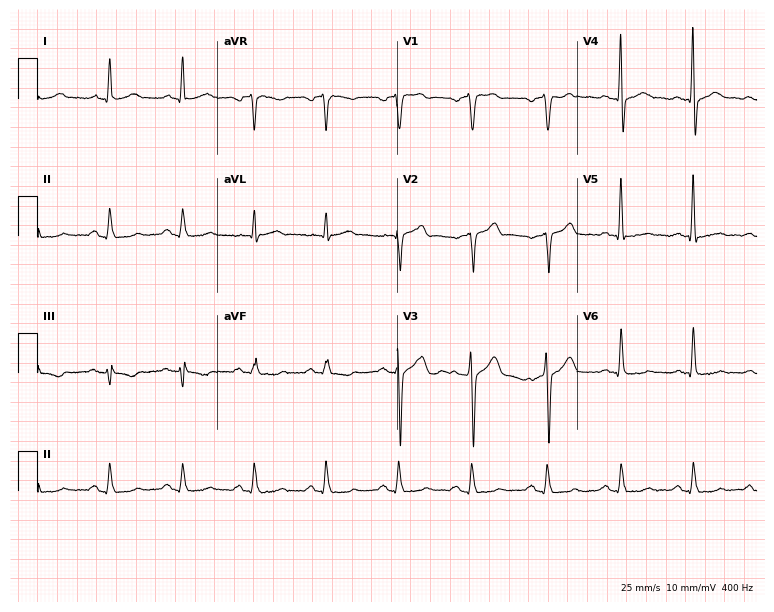
ECG (7.3-second recording at 400 Hz) — a man, 56 years old. Labelled as a normal ECG.